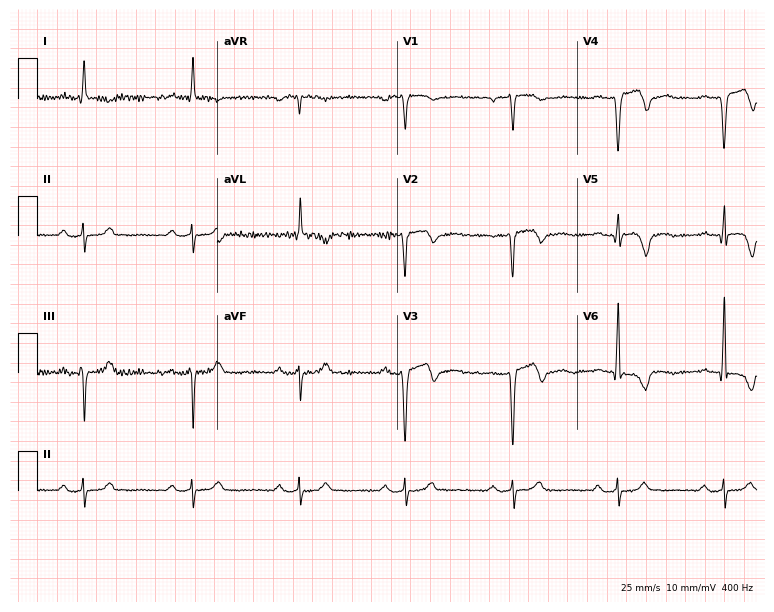
Electrocardiogram, a man, 80 years old. Of the six screened findings (first-degree AV block, right bundle branch block, left bundle branch block, sinus bradycardia, atrial fibrillation, sinus tachycardia), none is recorded. Findings outside these six are not listed.